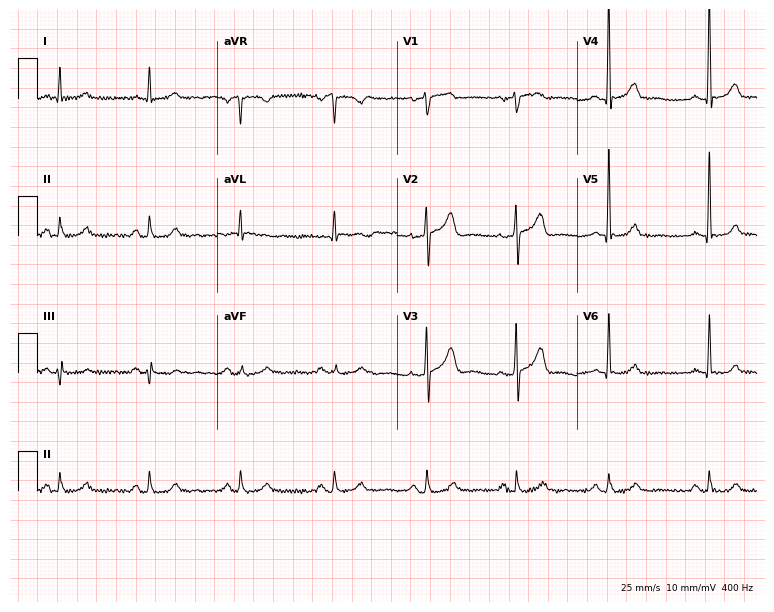
Standard 12-lead ECG recorded from a man, 55 years old (7.3-second recording at 400 Hz). Read as a normal ECG.